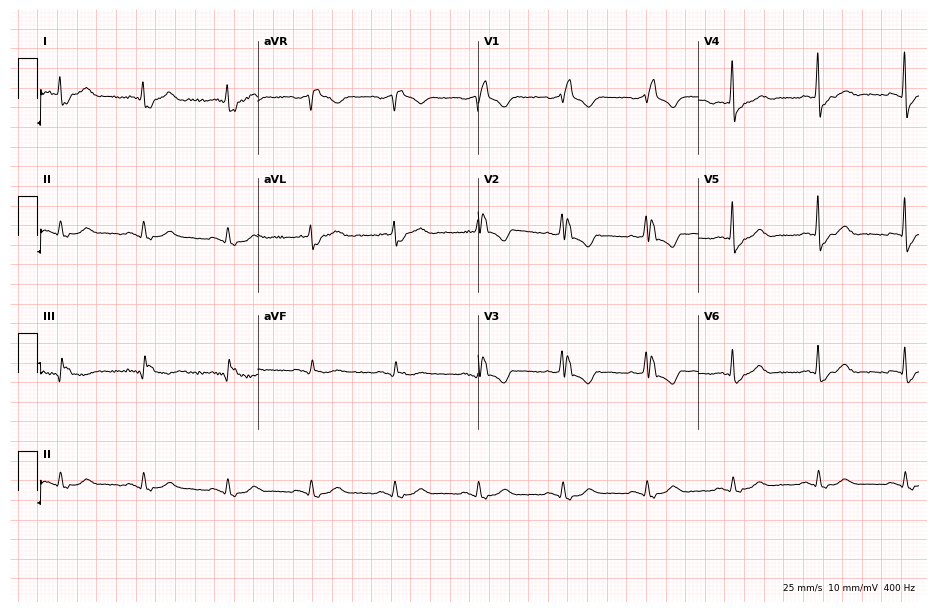
12-lead ECG from a man, 80 years old. Findings include right bundle branch block.